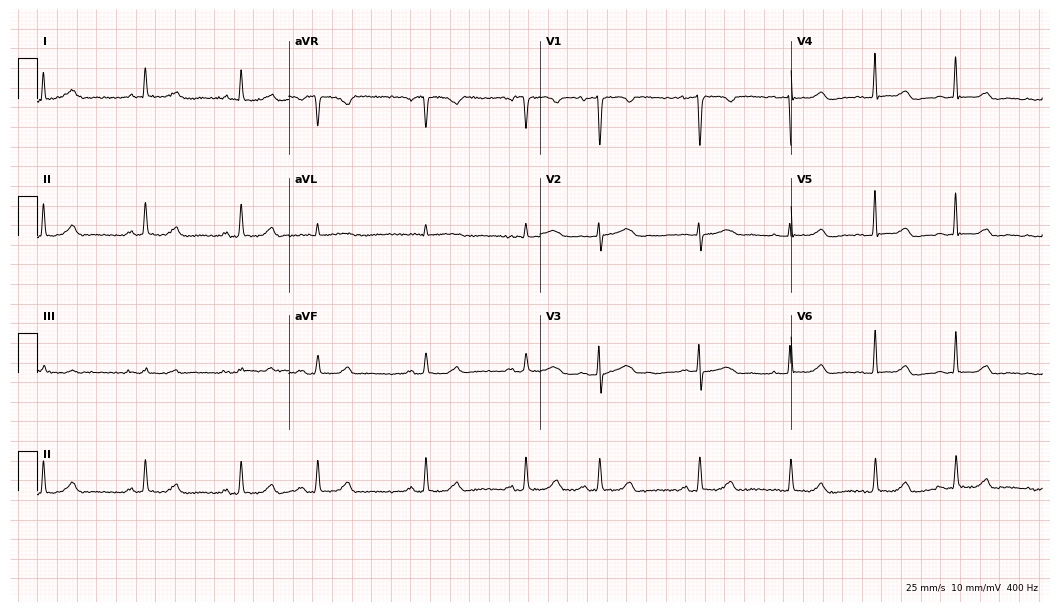
Electrocardiogram, a woman, 72 years old. Of the six screened findings (first-degree AV block, right bundle branch block, left bundle branch block, sinus bradycardia, atrial fibrillation, sinus tachycardia), none is recorded.